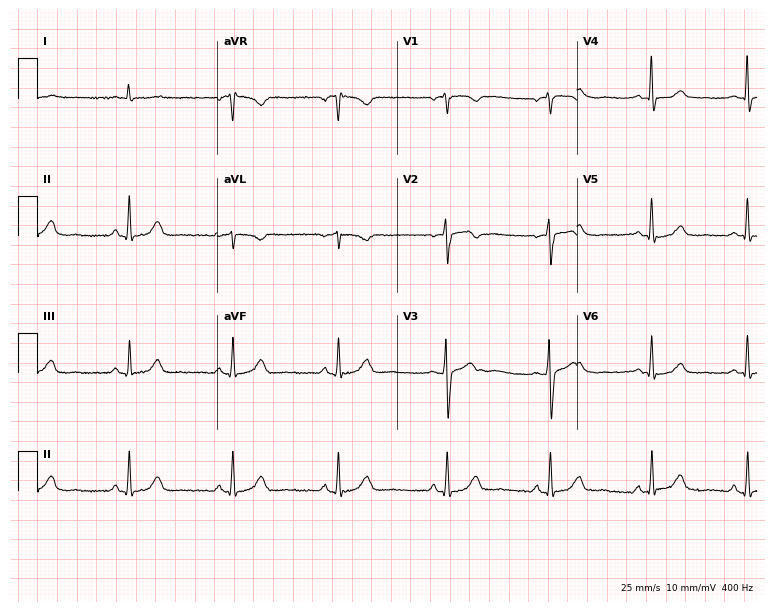
ECG — a 61-year-old woman. Labelled as a normal ECG.